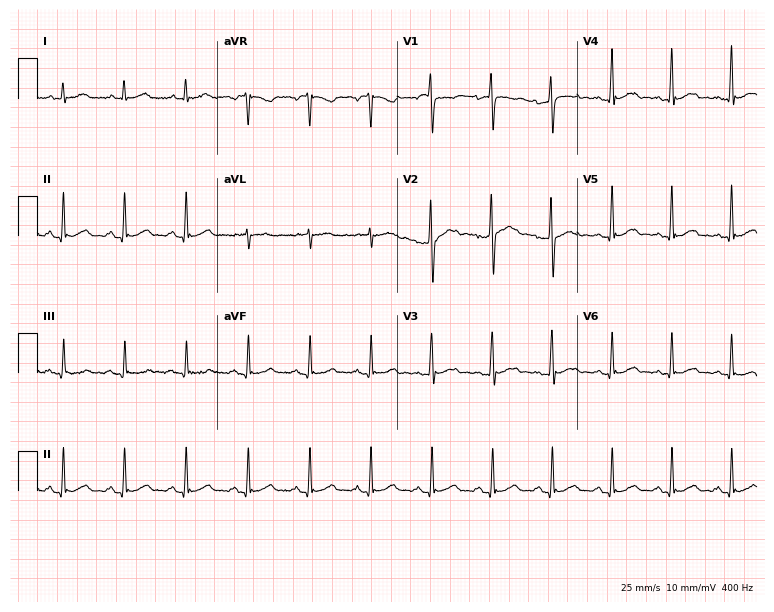
12-lead ECG from a man, 37 years old (7.3-second recording at 400 Hz). Recorded interpretation: within normal limits.